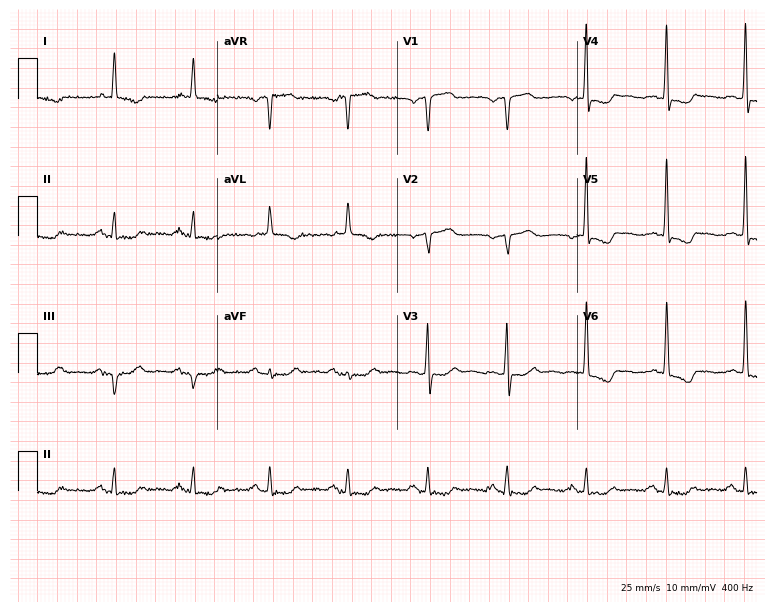
Electrocardiogram (7.3-second recording at 400 Hz), a 68-year-old female. Of the six screened findings (first-degree AV block, right bundle branch block, left bundle branch block, sinus bradycardia, atrial fibrillation, sinus tachycardia), none is recorded. Only these six findings were labelled.